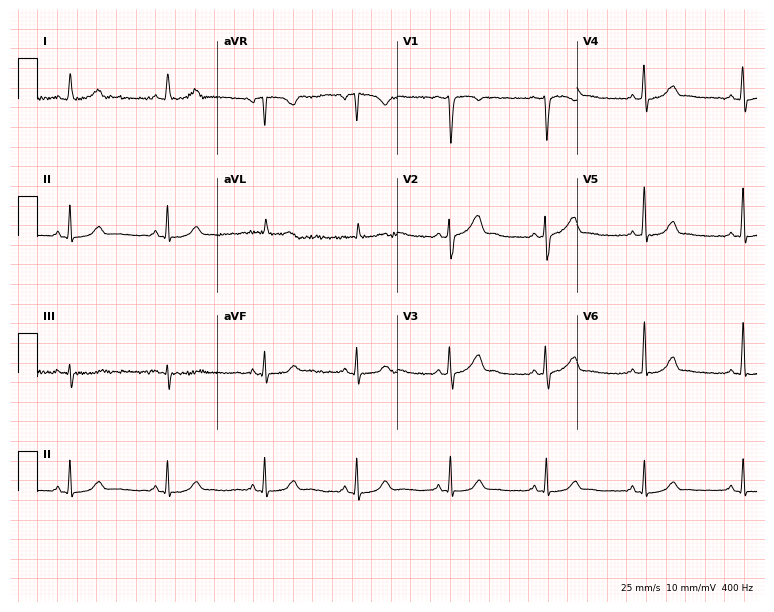
Electrocardiogram (7.3-second recording at 400 Hz), a 53-year-old female. Of the six screened findings (first-degree AV block, right bundle branch block, left bundle branch block, sinus bradycardia, atrial fibrillation, sinus tachycardia), none is recorded.